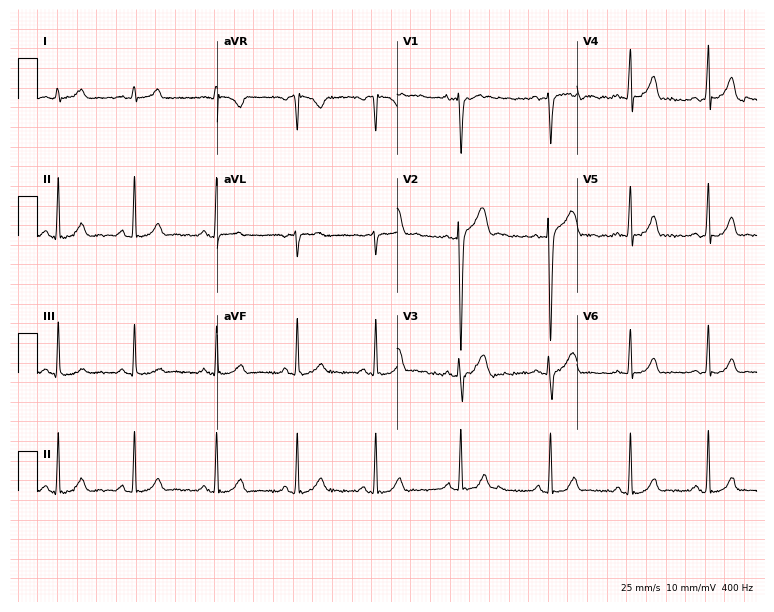
Resting 12-lead electrocardiogram. Patient: a 24-year-old female. Read as a normal ECG.